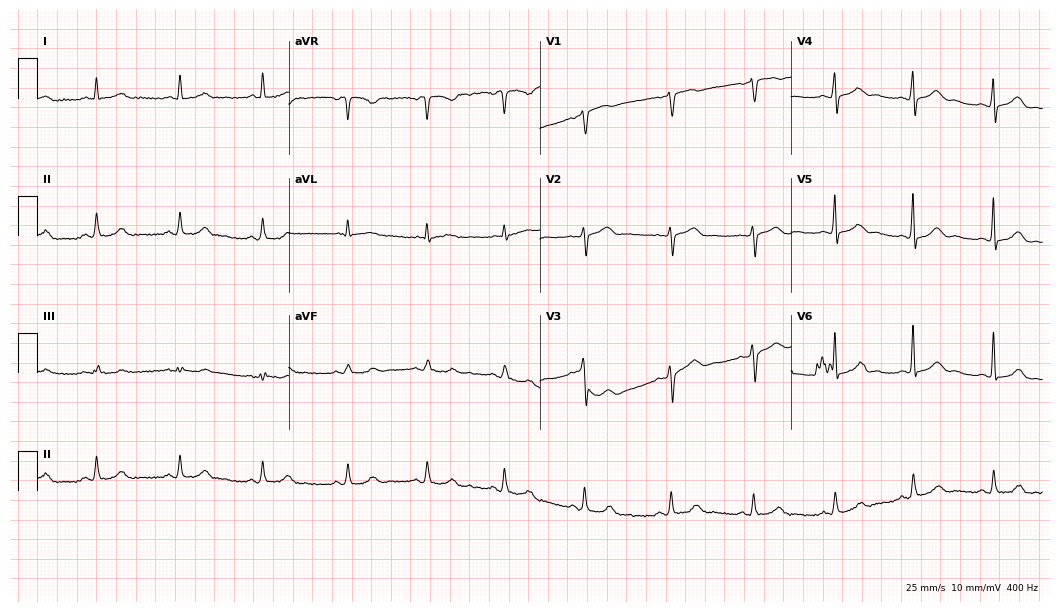
Electrocardiogram, a woman, 69 years old. Overall reading on record: normal ECG.